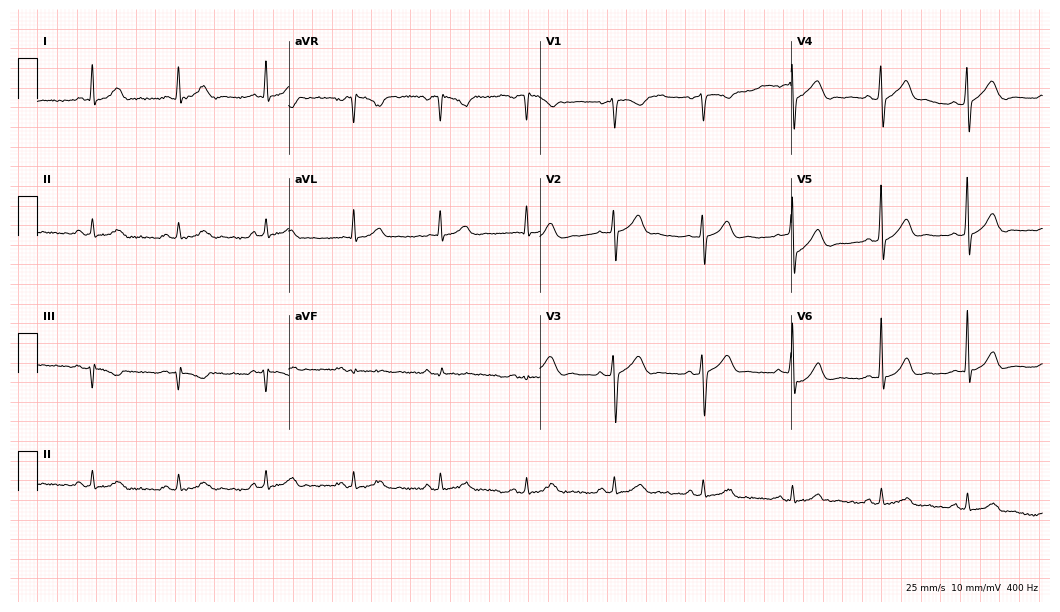
Resting 12-lead electrocardiogram (10.2-second recording at 400 Hz). Patient: a male, 47 years old. Read as a normal ECG.